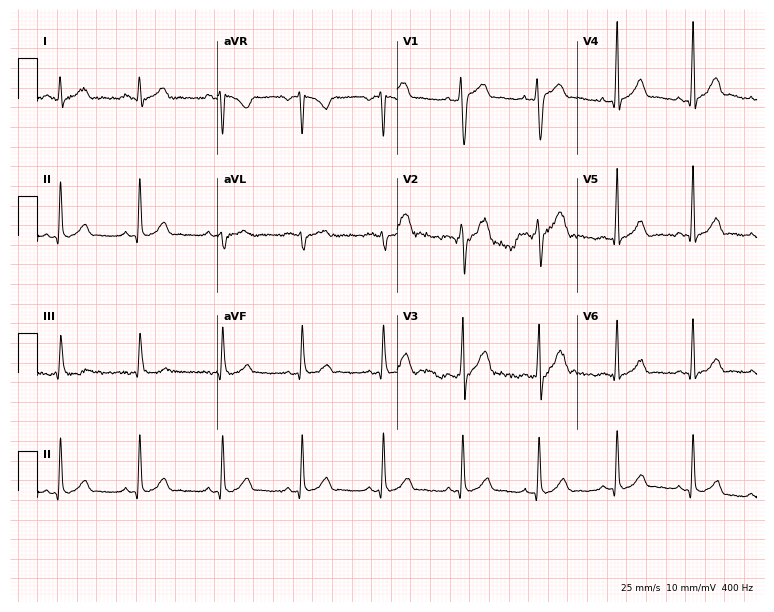
ECG — a 27-year-old man. Screened for six findings — first-degree AV block, right bundle branch block, left bundle branch block, sinus bradycardia, atrial fibrillation, sinus tachycardia — none is recorded.